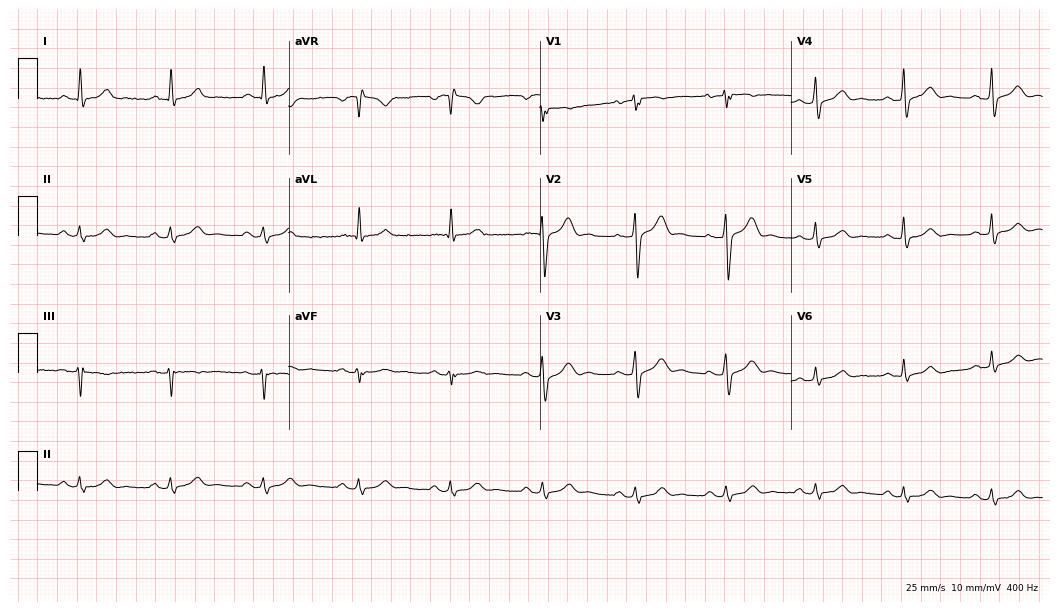
Standard 12-lead ECG recorded from a 44-year-old man. Read as a normal ECG.